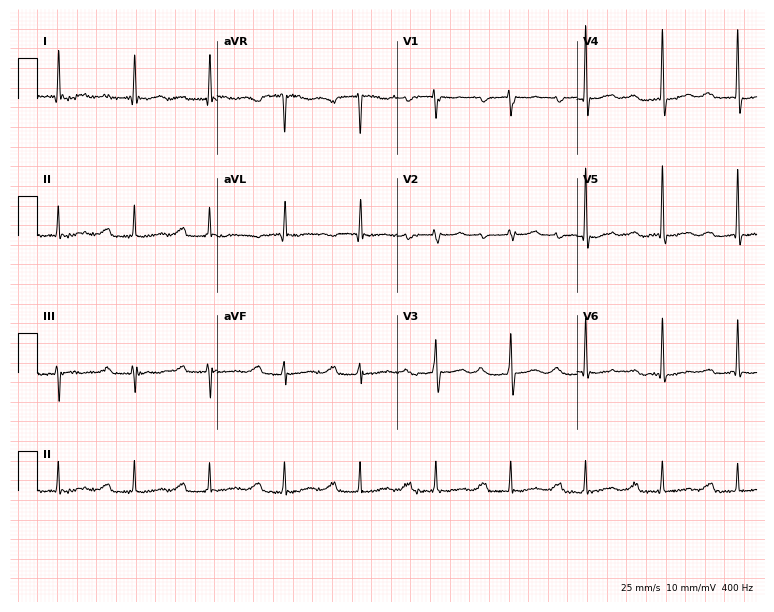
12-lead ECG from a 68-year-old female. Shows first-degree AV block.